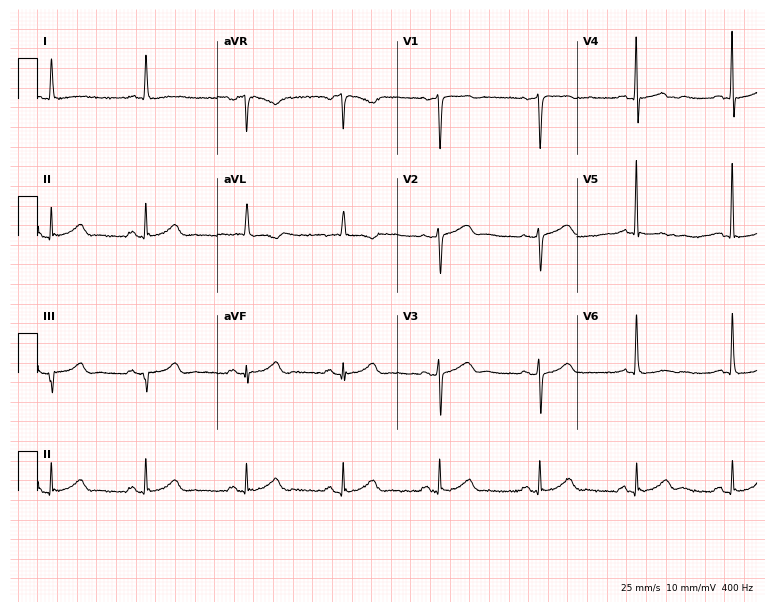
Resting 12-lead electrocardiogram. Patient: a 71-year-old male. None of these six findings is recorded: first-degree AV block, right bundle branch block, left bundle branch block, sinus bradycardia, atrial fibrillation, sinus tachycardia. Findings outside these six are not listed.